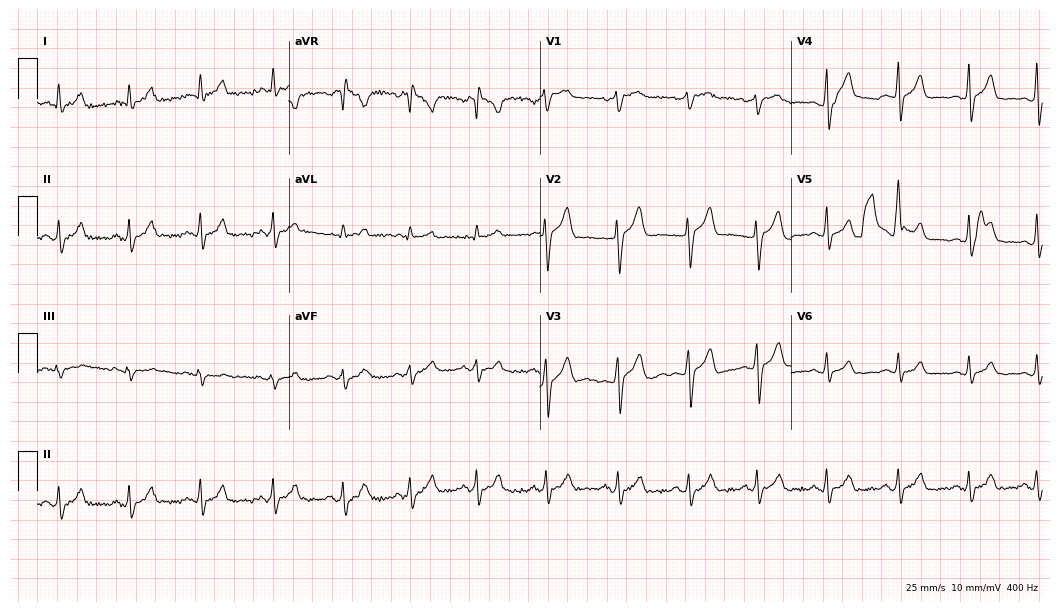
Resting 12-lead electrocardiogram (10.2-second recording at 400 Hz). Patient: a male, 21 years old. None of these six findings is recorded: first-degree AV block, right bundle branch block, left bundle branch block, sinus bradycardia, atrial fibrillation, sinus tachycardia.